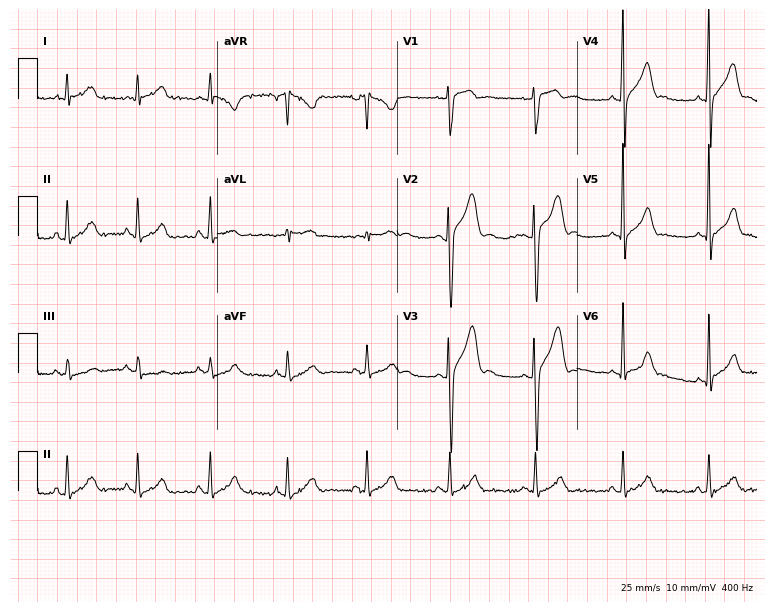
Resting 12-lead electrocardiogram. Patient: a 29-year-old male. None of these six findings is recorded: first-degree AV block, right bundle branch block, left bundle branch block, sinus bradycardia, atrial fibrillation, sinus tachycardia. Findings outside these six are not listed.